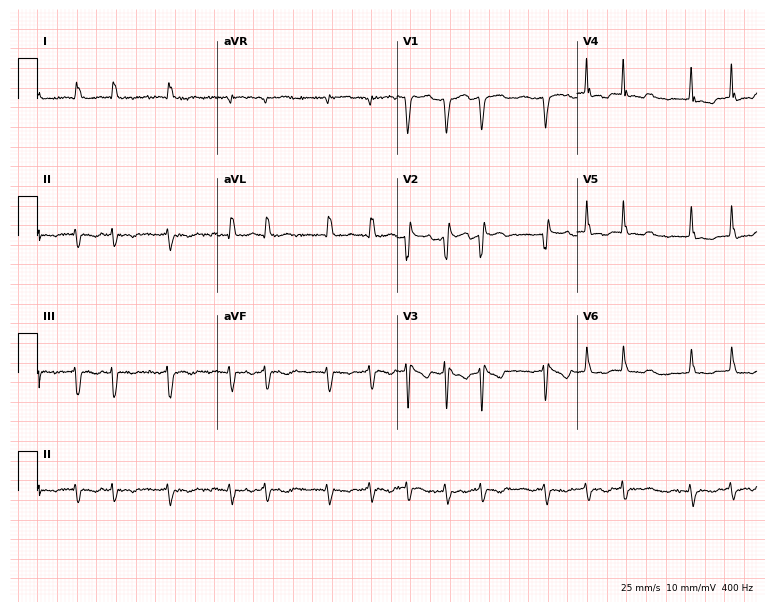
12-lead ECG (7.3-second recording at 400 Hz) from an 86-year-old woman. Findings include atrial fibrillation.